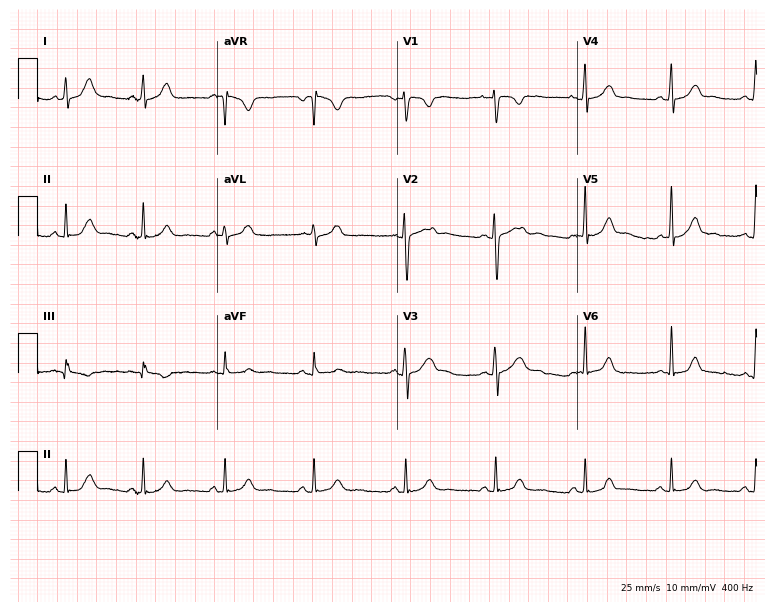
Electrocardiogram, a female patient, 26 years old. Of the six screened findings (first-degree AV block, right bundle branch block, left bundle branch block, sinus bradycardia, atrial fibrillation, sinus tachycardia), none is recorded. Findings outside these six are not listed.